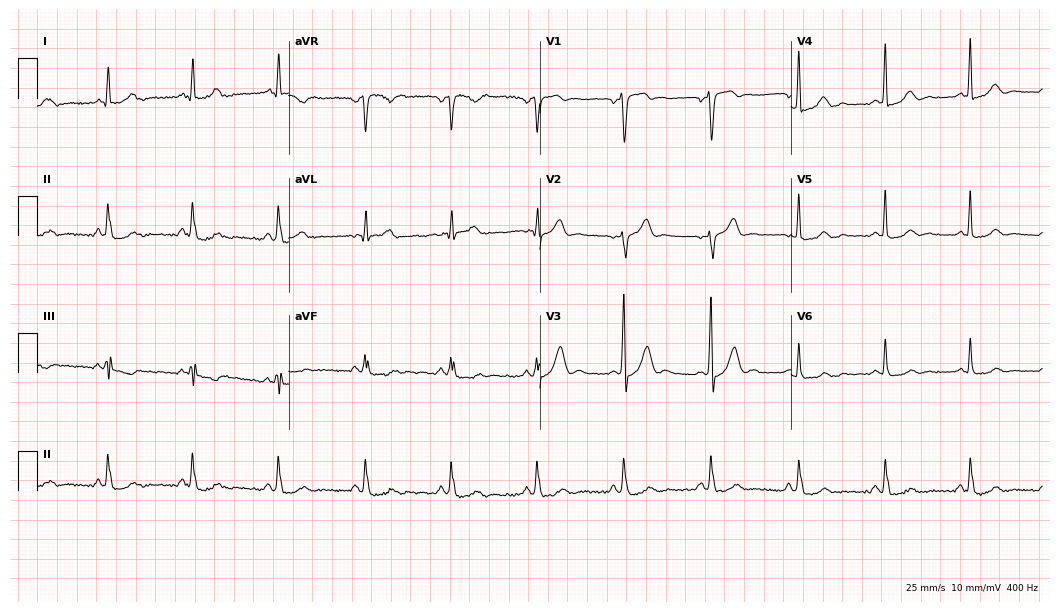
ECG (10.2-second recording at 400 Hz) — a male, 38 years old. Labelled as a normal ECG.